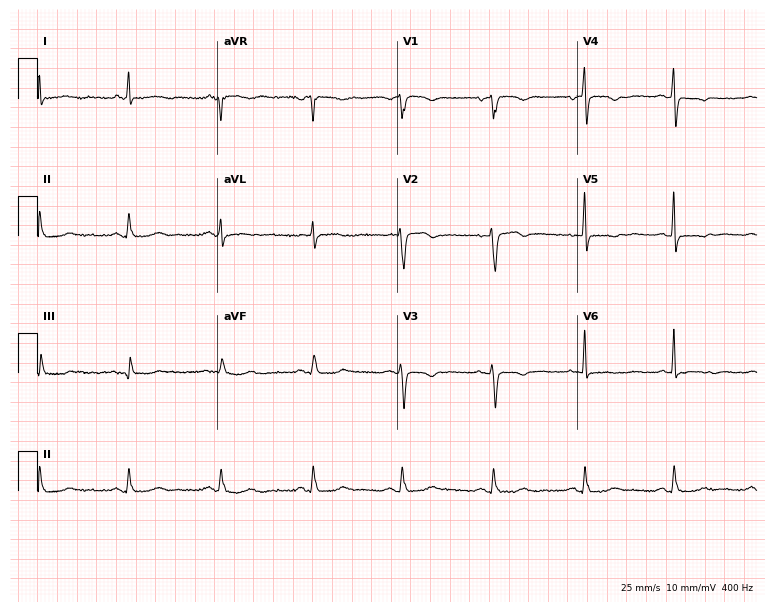
Electrocardiogram, a 77-year-old woman. Of the six screened findings (first-degree AV block, right bundle branch block, left bundle branch block, sinus bradycardia, atrial fibrillation, sinus tachycardia), none is recorded.